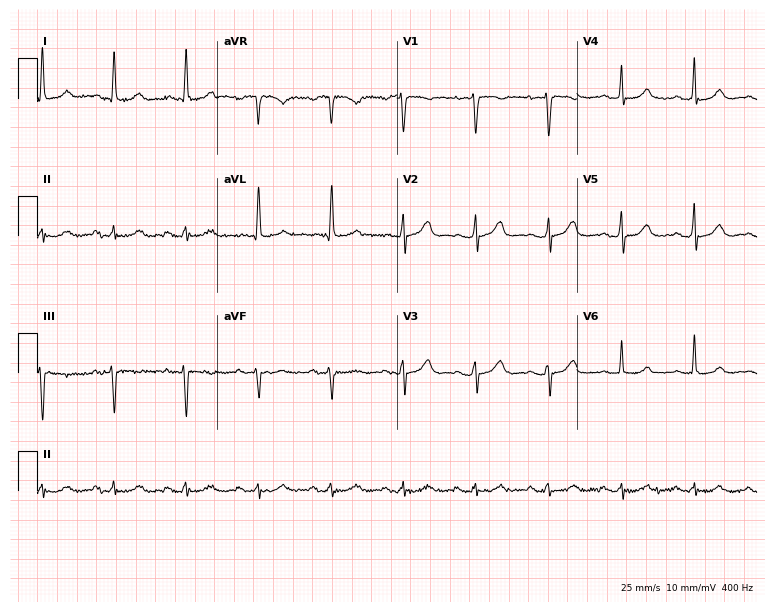
Resting 12-lead electrocardiogram. Patient: an 80-year-old female. None of these six findings is recorded: first-degree AV block, right bundle branch block, left bundle branch block, sinus bradycardia, atrial fibrillation, sinus tachycardia.